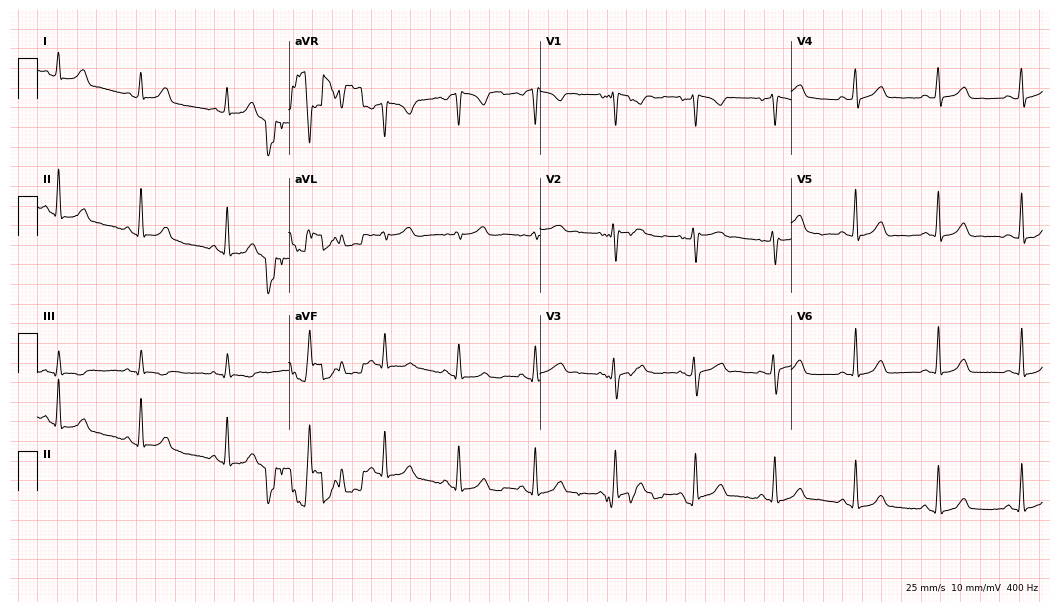
Electrocardiogram (10.2-second recording at 400 Hz), a female, 31 years old. Overall reading on record: normal ECG.